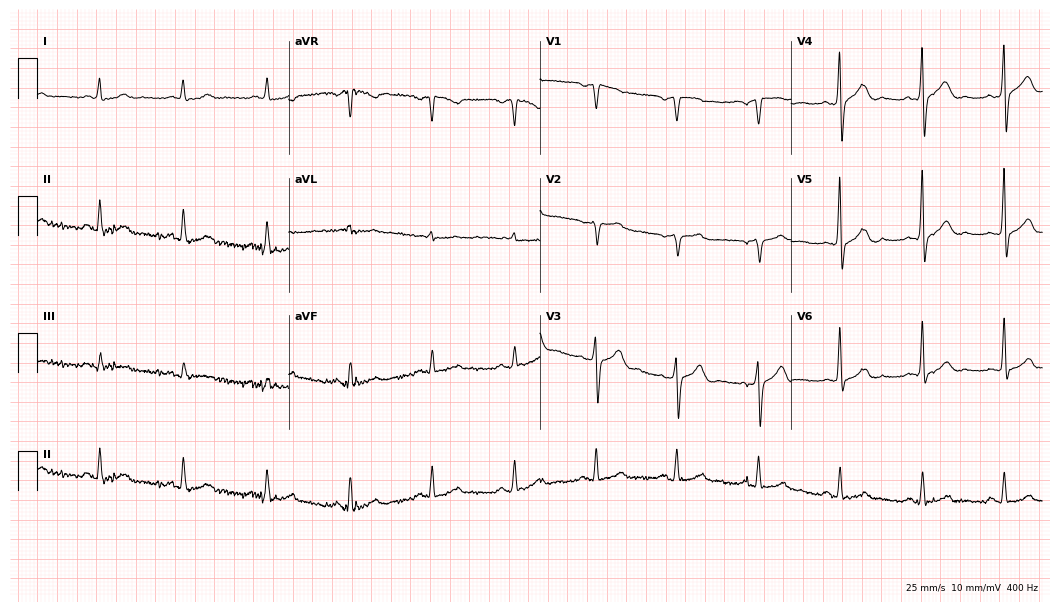
Electrocardiogram, a man, 62 years old. Of the six screened findings (first-degree AV block, right bundle branch block, left bundle branch block, sinus bradycardia, atrial fibrillation, sinus tachycardia), none is recorded.